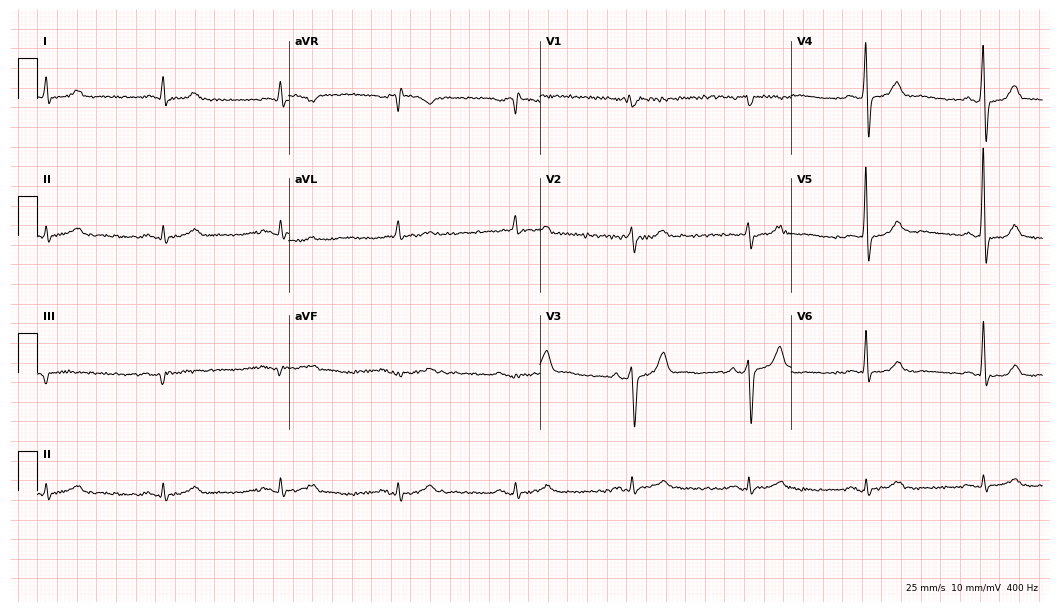
Resting 12-lead electrocardiogram (10.2-second recording at 400 Hz). Patient: an 80-year-old male. None of these six findings is recorded: first-degree AV block, right bundle branch block (RBBB), left bundle branch block (LBBB), sinus bradycardia, atrial fibrillation (AF), sinus tachycardia. Other findings, if any, are not listed.